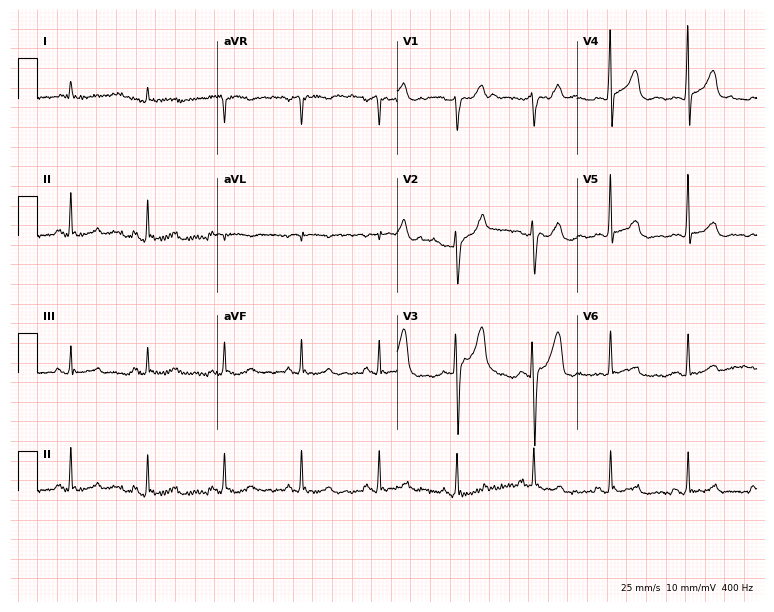
12-lead ECG from an 84-year-old man. No first-degree AV block, right bundle branch block, left bundle branch block, sinus bradycardia, atrial fibrillation or sinus tachycardia recorded for this tracing. Findings outside these six are not listed.